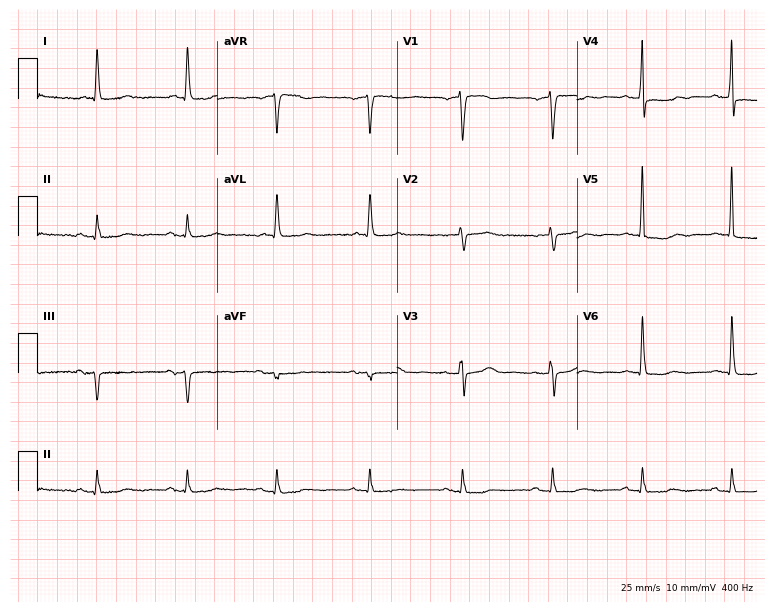
12-lead ECG from a 71-year-old woman (7.3-second recording at 400 Hz). No first-degree AV block, right bundle branch block (RBBB), left bundle branch block (LBBB), sinus bradycardia, atrial fibrillation (AF) or sinus tachycardia recorded for this tracing.